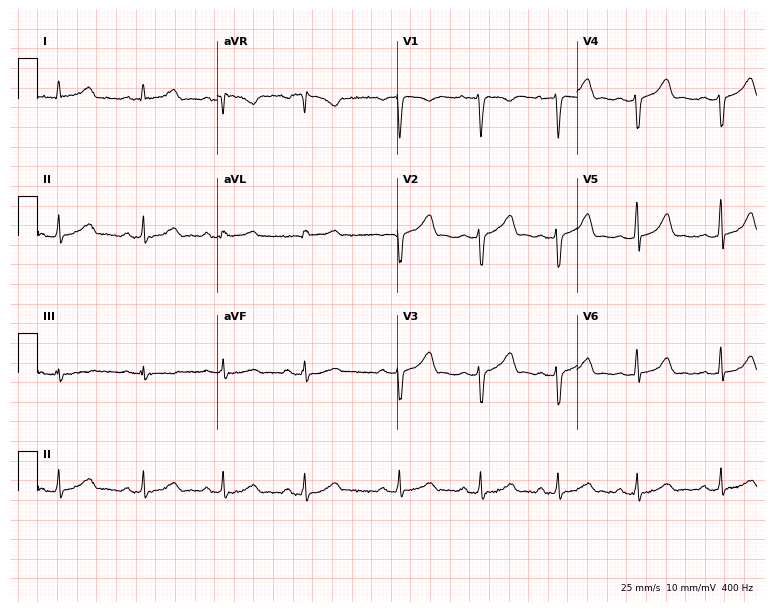
Resting 12-lead electrocardiogram. Patient: a 19-year-old female. None of these six findings is recorded: first-degree AV block, right bundle branch block, left bundle branch block, sinus bradycardia, atrial fibrillation, sinus tachycardia.